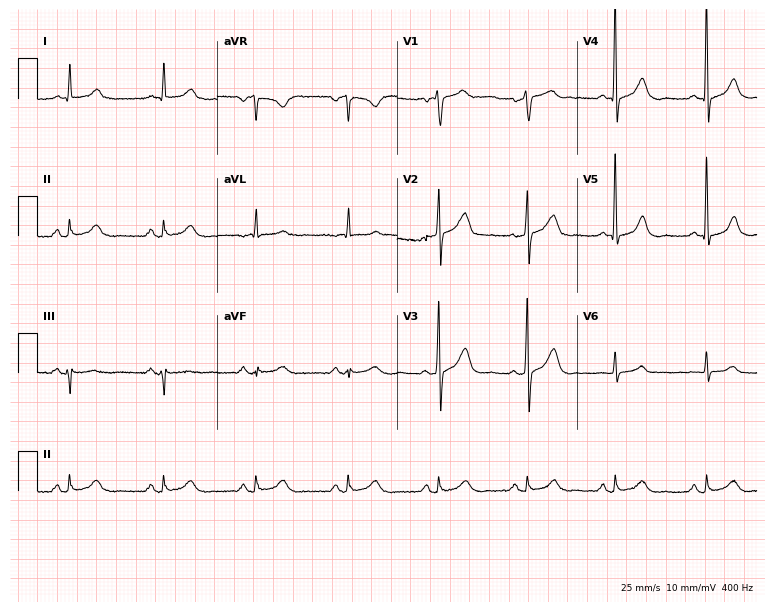
Electrocardiogram (7.3-second recording at 400 Hz), a male, 62 years old. Of the six screened findings (first-degree AV block, right bundle branch block, left bundle branch block, sinus bradycardia, atrial fibrillation, sinus tachycardia), none is recorded.